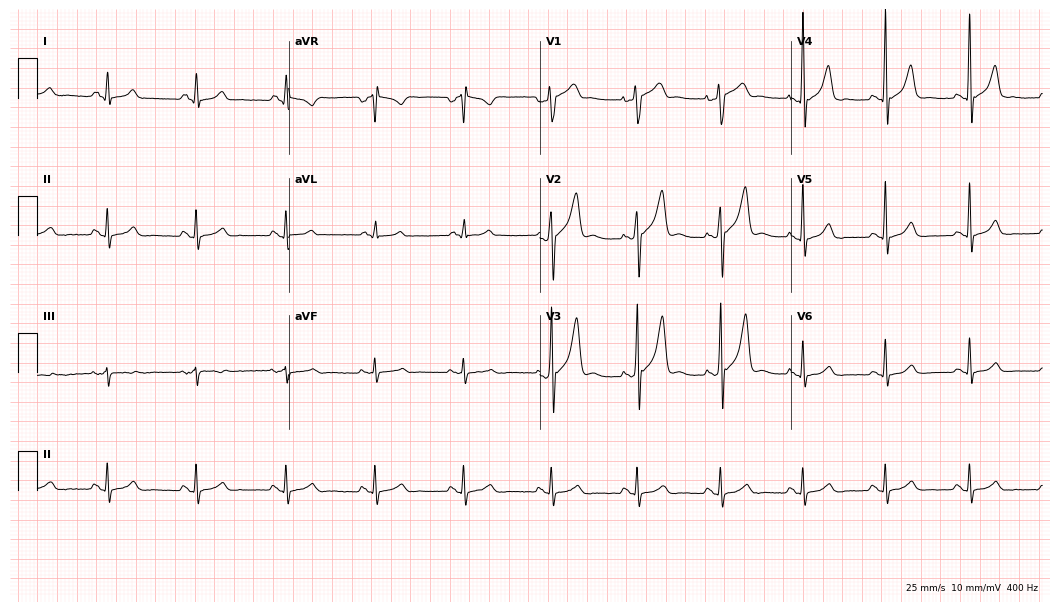
12-lead ECG from a man, 52 years old. Recorded interpretation: within normal limits.